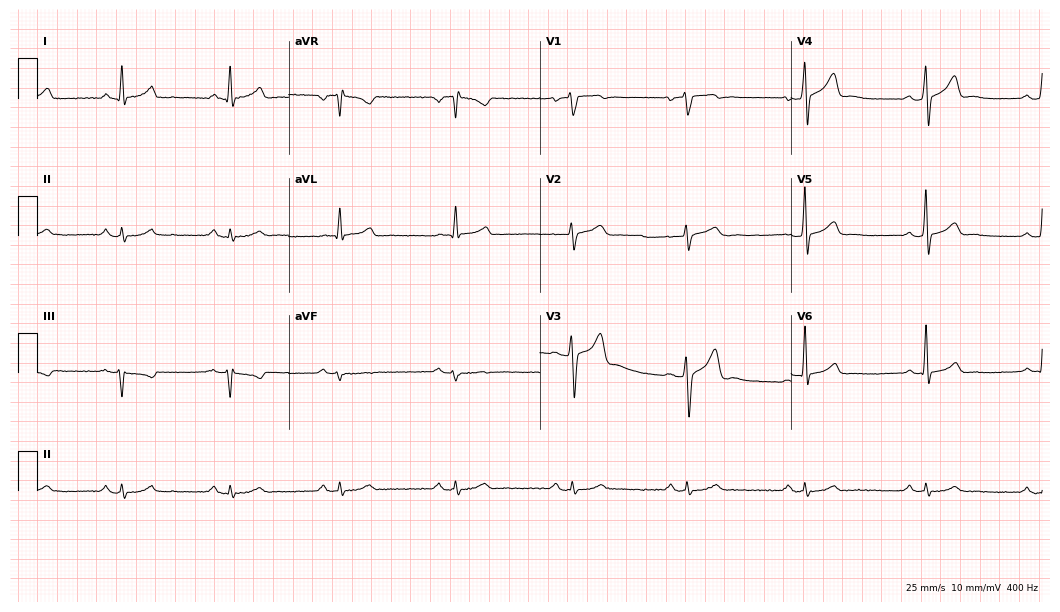
12-lead ECG from a male patient, 48 years old. Labelled as a normal ECG.